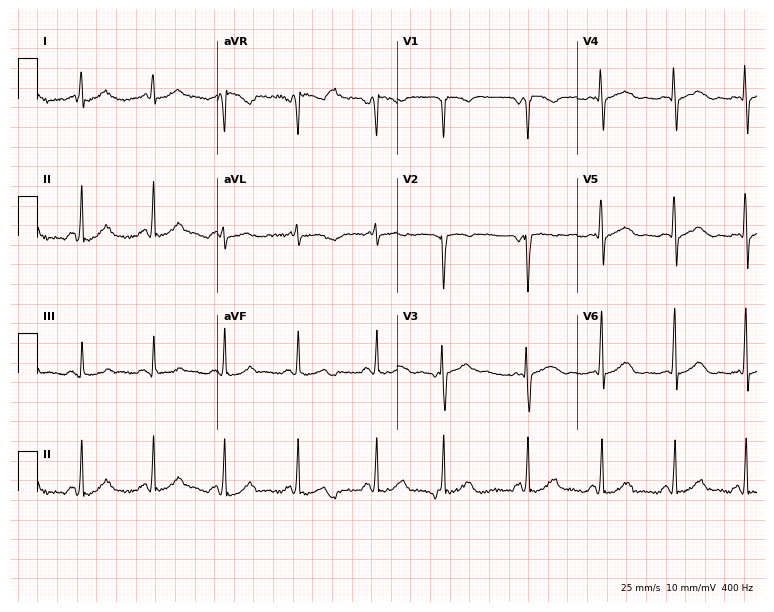
ECG — a female, 30 years old. Screened for six findings — first-degree AV block, right bundle branch block, left bundle branch block, sinus bradycardia, atrial fibrillation, sinus tachycardia — none is recorded. Other findings, if any, are not listed.